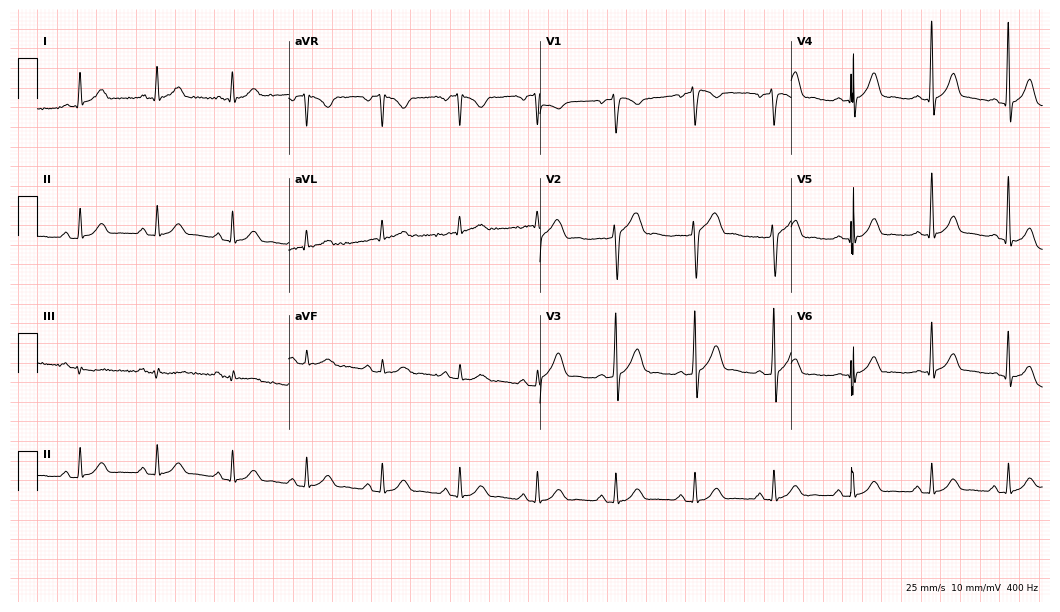
12-lead ECG (10.2-second recording at 400 Hz) from a 42-year-old male. Labelled as a normal ECG.